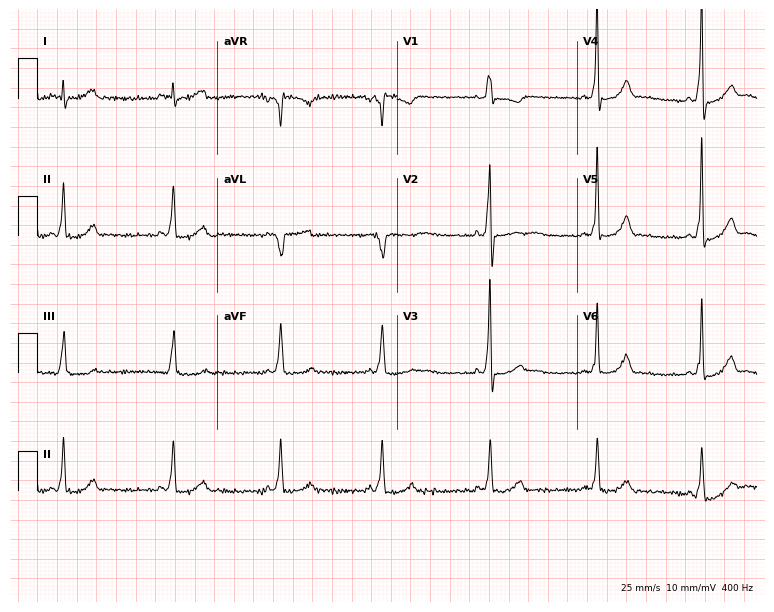
Standard 12-lead ECG recorded from a man, 50 years old. None of these six findings is recorded: first-degree AV block, right bundle branch block (RBBB), left bundle branch block (LBBB), sinus bradycardia, atrial fibrillation (AF), sinus tachycardia.